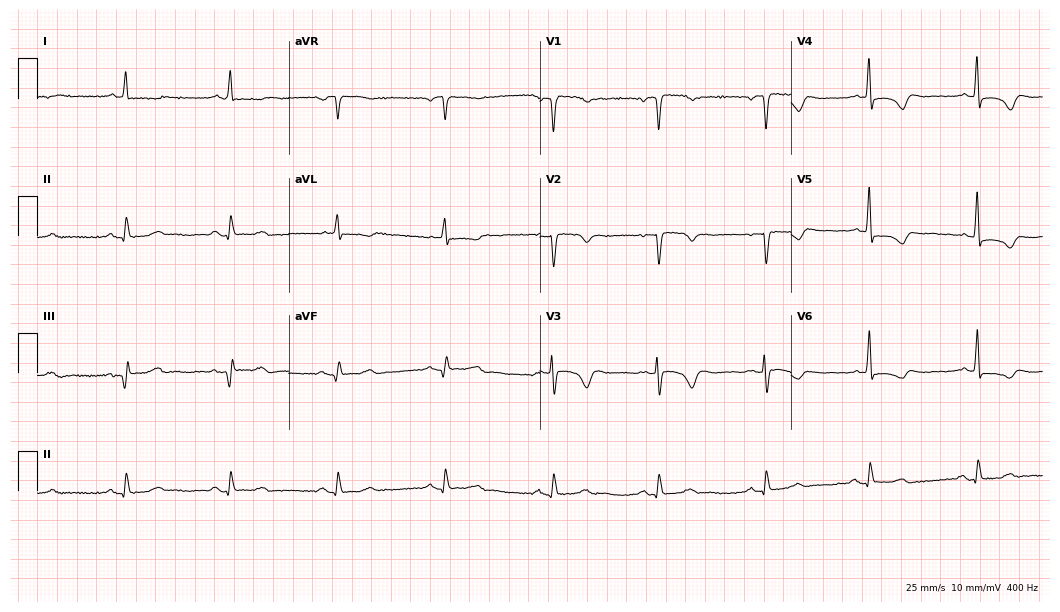
Electrocardiogram (10.2-second recording at 400 Hz), an 80-year-old female. Of the six screened findings (first-degree AV block, right bundle branch block (RBBB), left bundle branch block (LBBB), sinus bradycardia, atrial fibrillation (AF), sinus tachycardia), none is recorded.